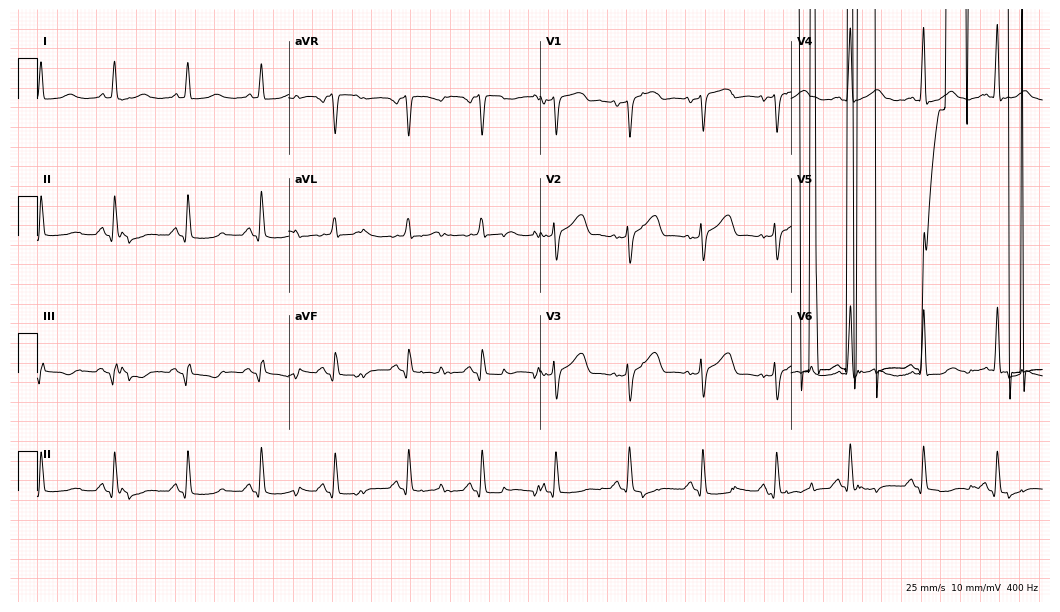
Standard 12-lead ECG recorded from a 68-year-old male. None of these six findings is recorded: first-degree AV block, right bundle branch block, left bundle branch block, sinus bradycardia, atrial fibrillation, sinus tachycardia.